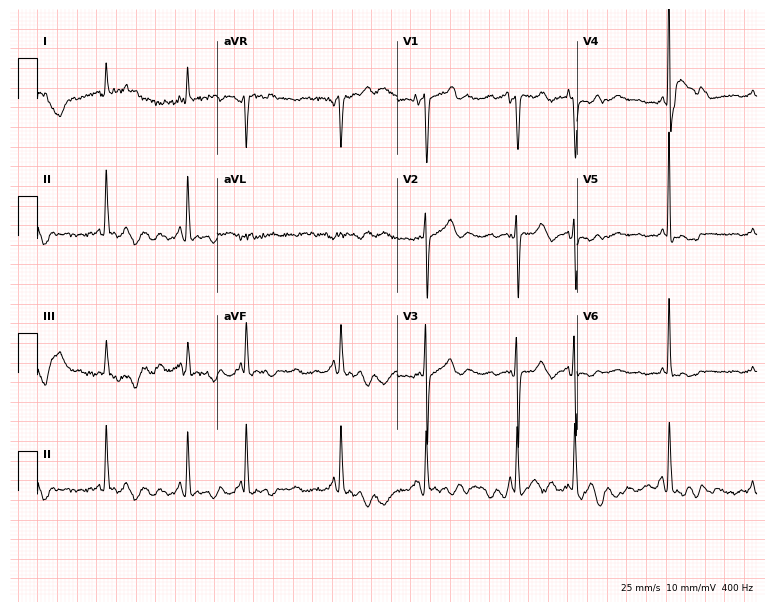
ECG — a 71-year-old female. Screened for six findings — first-degree AV block, right bundle branch block, left bundle branch block, sinus bradycardia, atrial fibrillation, sinus tachycardia — none is recorded.